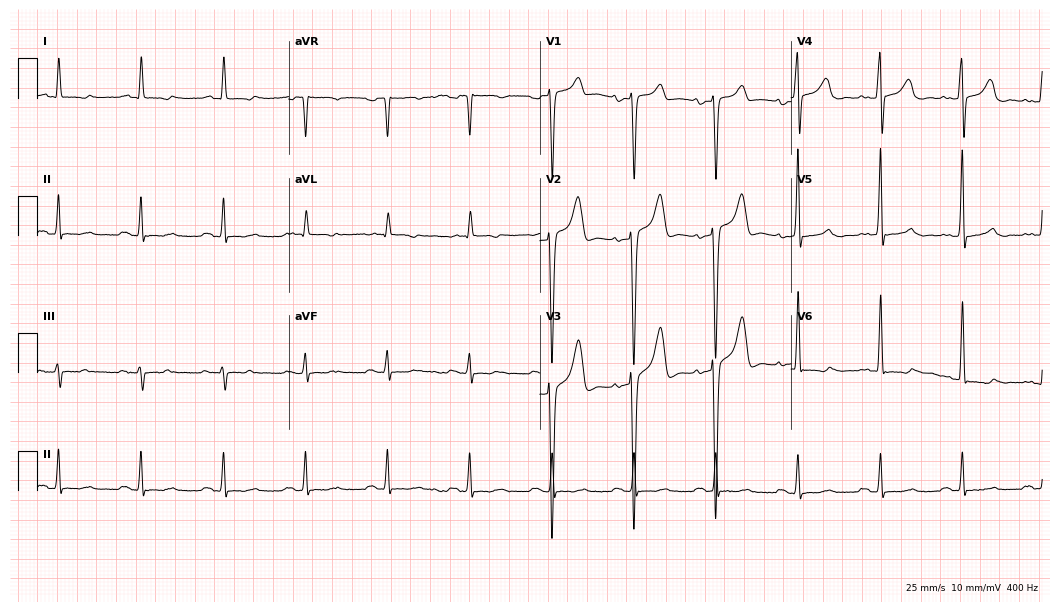
Standard 12-lead ECG recorded from a 67-year-old male (10.2-second recording at 400 Hz). None of these six findings is recorded: first-degree AV block, right bundle branch block, left bundle branch block, sinus bradycardia, atrial fibrillation, sinus tachycardia. Findings outside these six are not listed.